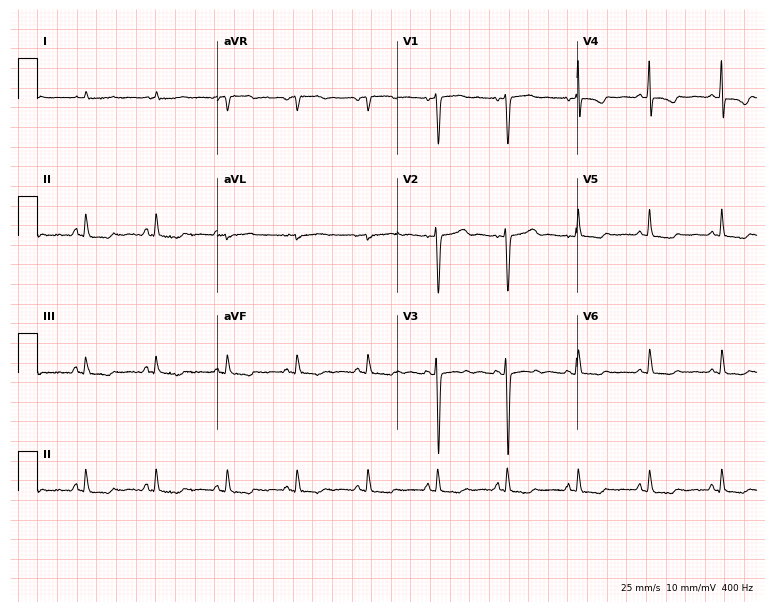
ECG — a woman, 34 years old. Screened for six findings — first-degree AV block, right bundle branch block (RBBB), left bundle branch block (LBBB), sinus bradycardia, atrial fibrillation (AF), sinus tachycardia — none is recorded.